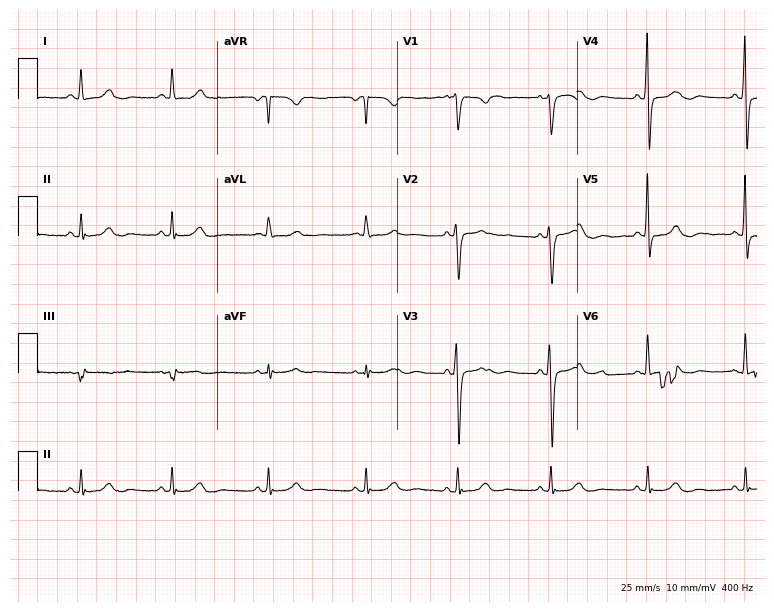
Electrocardiogram (7.3-second recording at 400 Hz), a female patient, 46 years old. Overall reading on record: normal ECG.